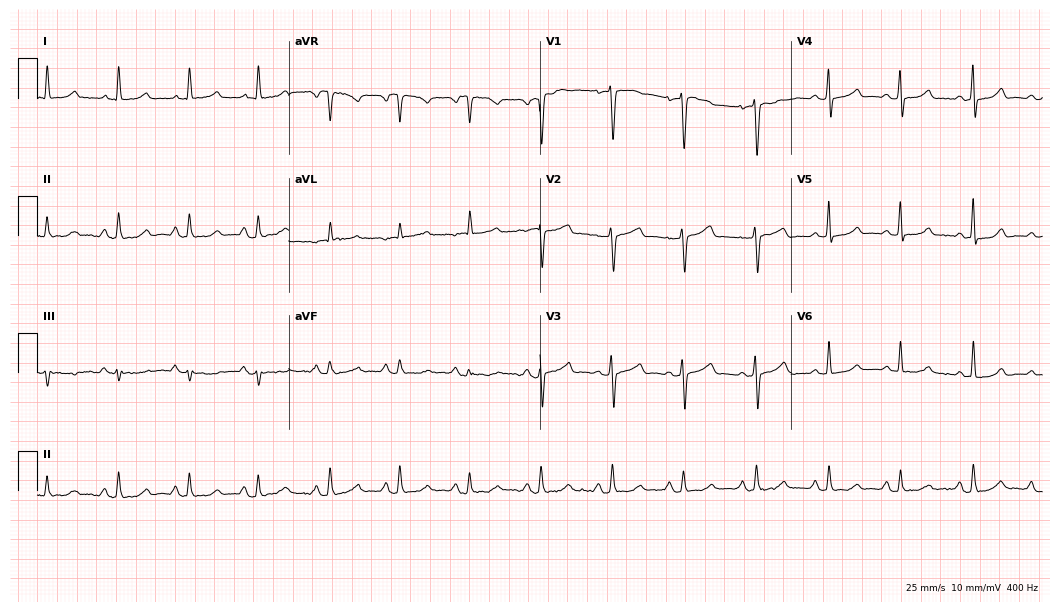
Resting 12-lead electrocardiogram. Patient: a woman, 54 years old. Read as a normal ECG.